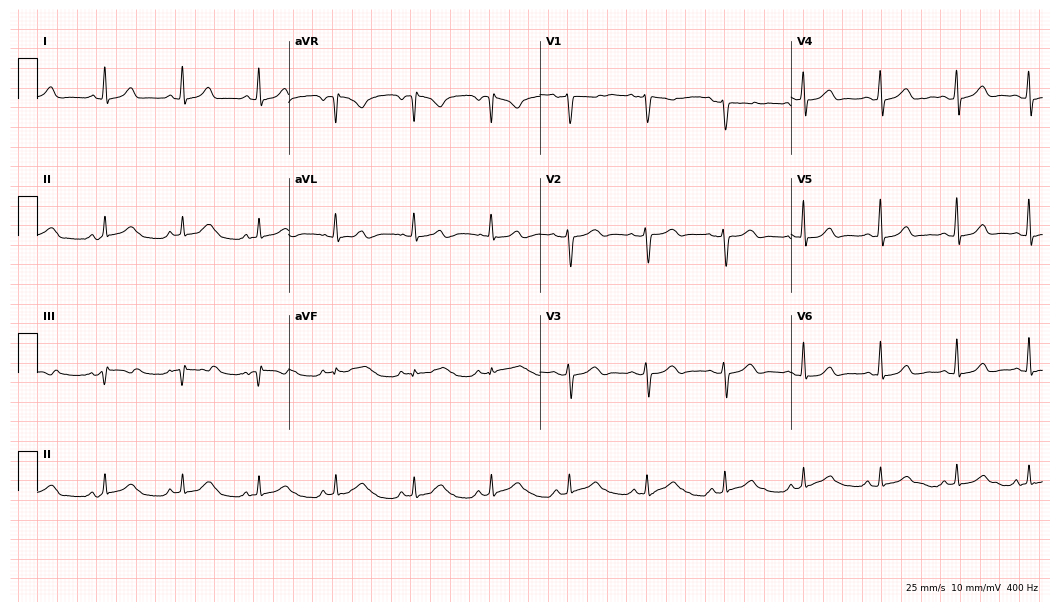
Resting 12-lead electrocardiogram. Patient: a woman, 33 years old. Read as a normal ECG.